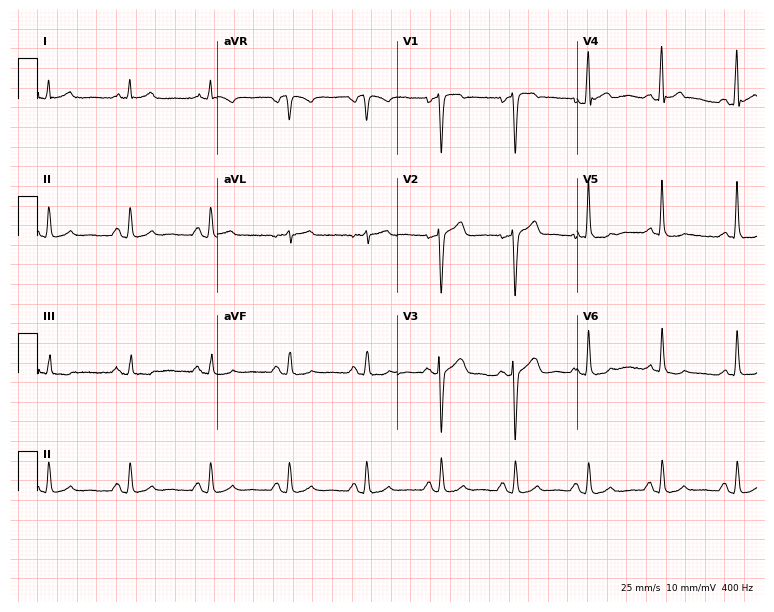
Standard 12-lead ECG recorded from a male patient, 53 years old (7.3-second recording at 400 Hz). Read as a normal ECG.